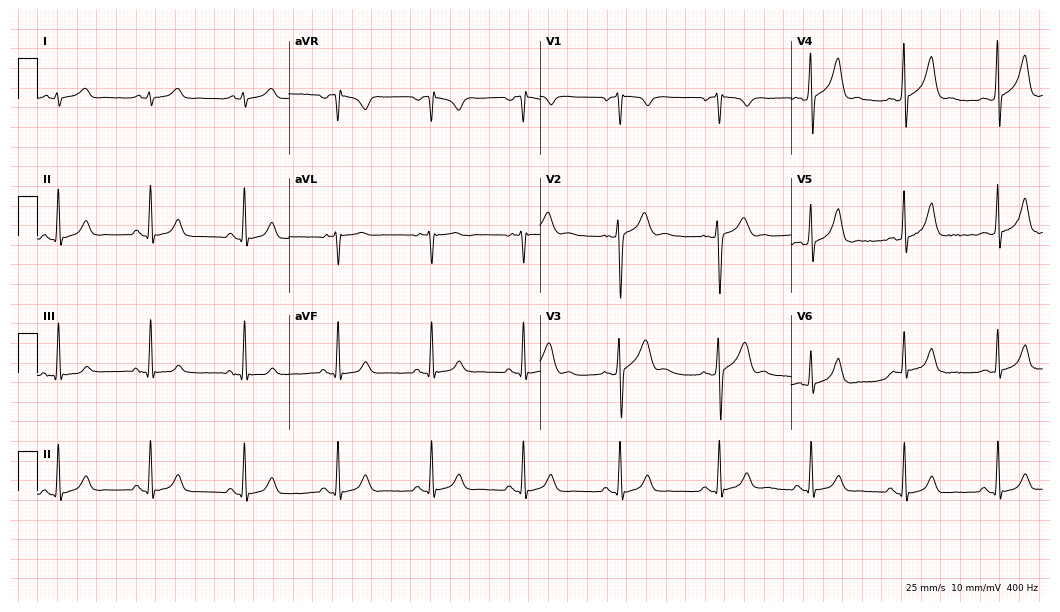
Standard 12-lead ECG recorded from a man, 31 years old. None of these six findings is recorded: first-degree AV block, right bundle branch block, left bundle branch block, sinus bradycardia, atrial fibrillation, sinus tachycardia.